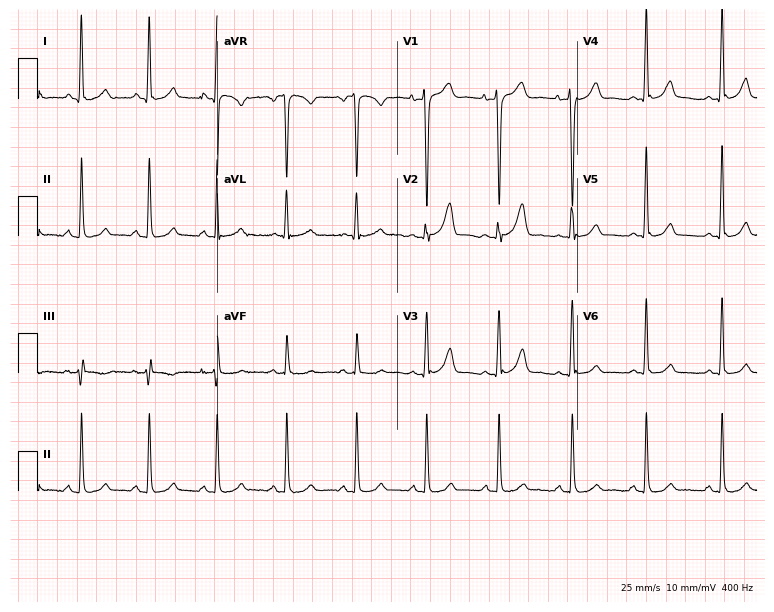
Resting 12-lead electrocardiogram (7.3-second recording at 400 Hz). Patient: a 42-year-old male. None of these six findings is recorded: first-degree AV block, right bundle branch block, left bundle branch block, sinus bradycardia, atrial fibrillation, sinus tachycardia.